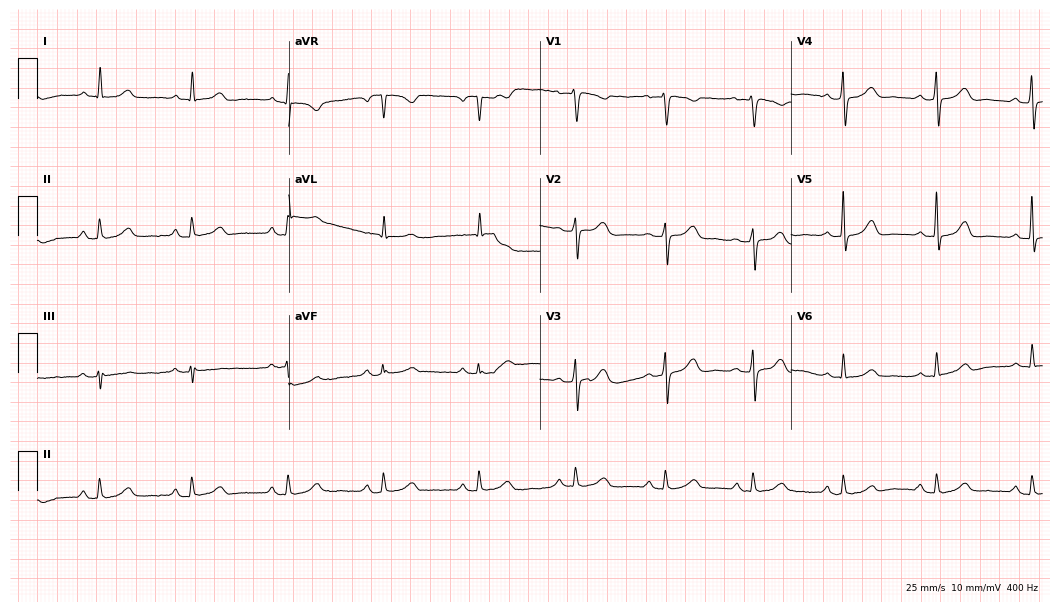
Electrocardiogram, a 70-year-old female patient. Overall reading on record: normal ECG.